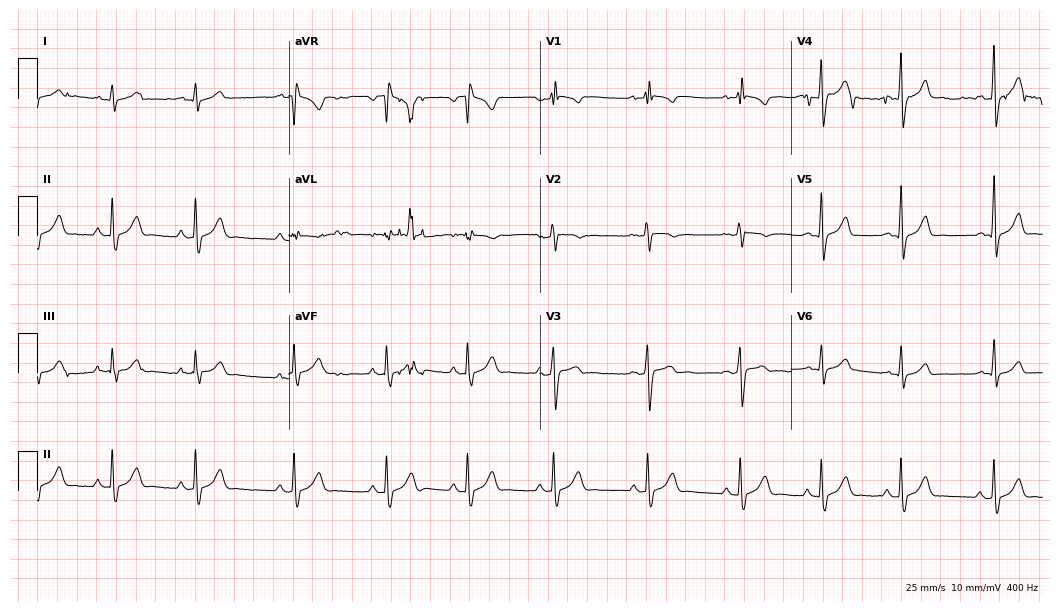
12-lead ECG from a man, 18 years old. No first-degree AV block, right bundle branch block (RBBB), left bundle branch block (LBBB), sinus bradycardia, atrial fibrillation (AF) or sinus tachycardia recorded for this tracing. Other findings, if any, are not listed.